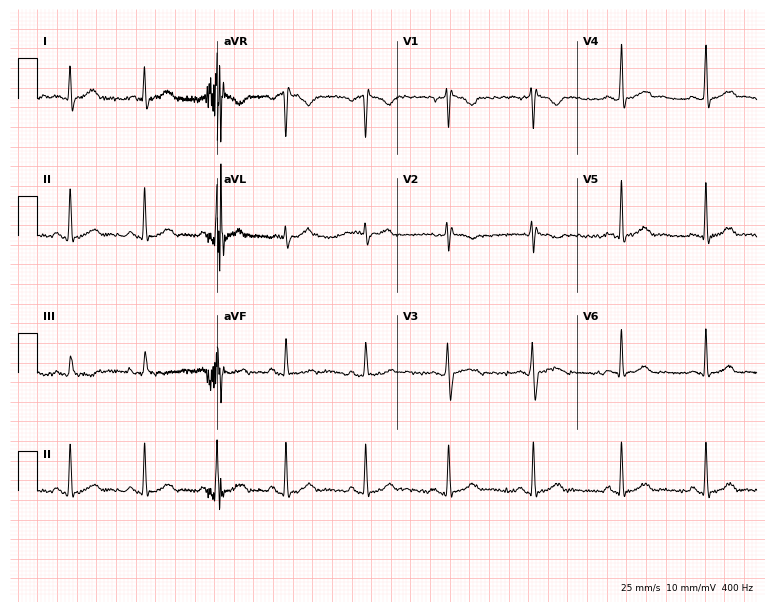
ECG — a 17-year-old female patient. Labelled as a normal ECG.